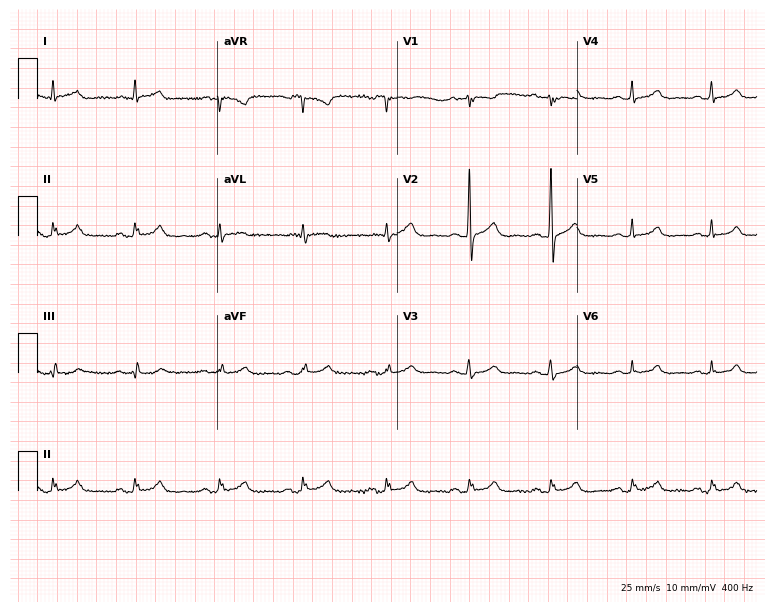
12-lead ECG (7.3-second recording at 400 Hz) from a 59-year-old man. Labelled as a normal ECG.